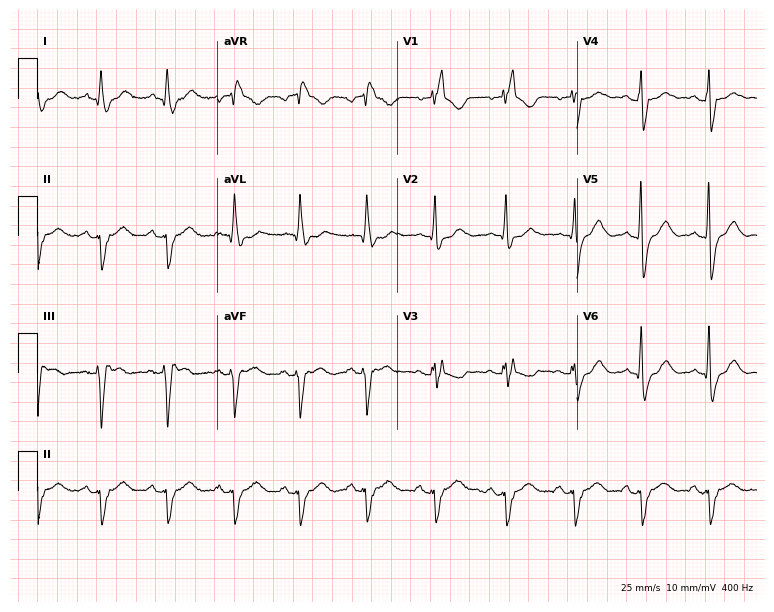
12-lead ECG (7.3-second recording at 400 Hz) from a female, 71 years old. Screened for six findings — first-degree AV block, right bundle branch block, left bundle branch block, sinus bradycardia, atrial fibrillation, sinus tachycardia — none is recorded. Other findings, if any, are not listed.